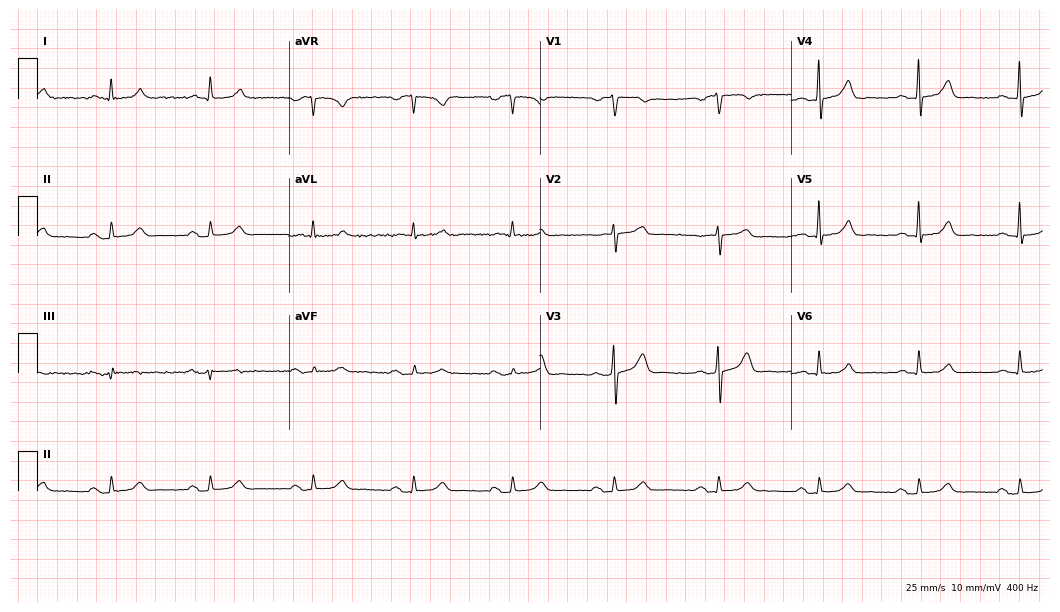
Resting 12-lead electrocardiogram. Patient: a male, 67 years old. Read as a normal ECG.